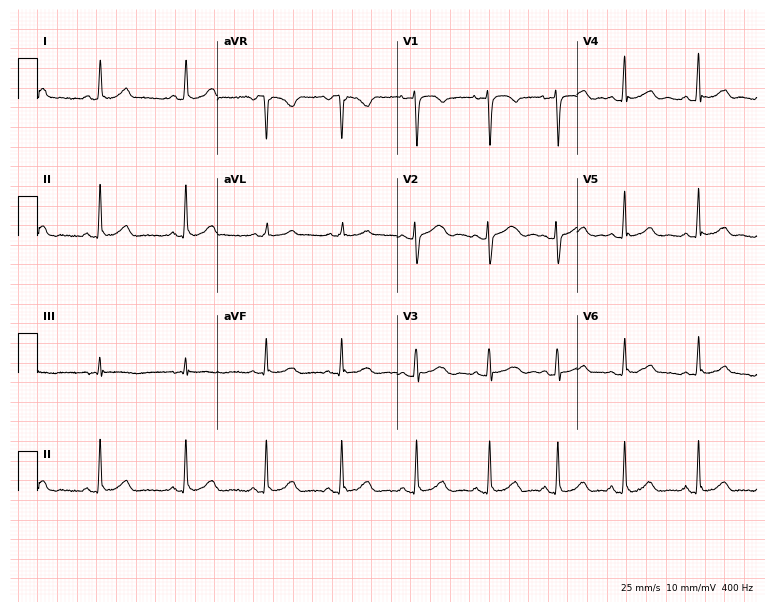
ECG — a female patient, 40 years old. Labelled as a normal ECG.